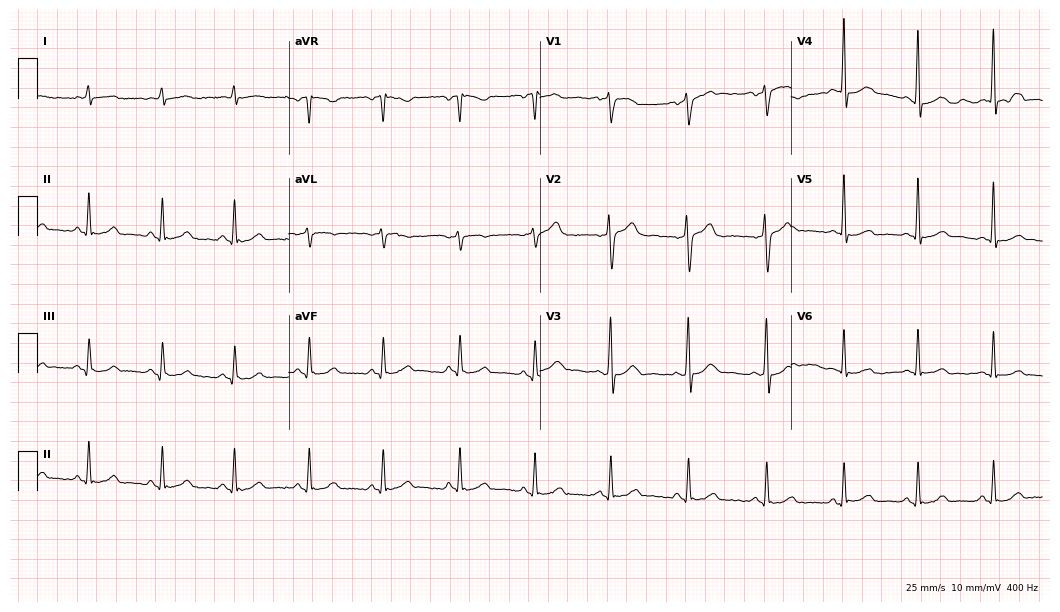
12-lead ECG (10.2-second recording at 400 Hz) from a male patient, 39 years old. Labelled as a normal ECG.